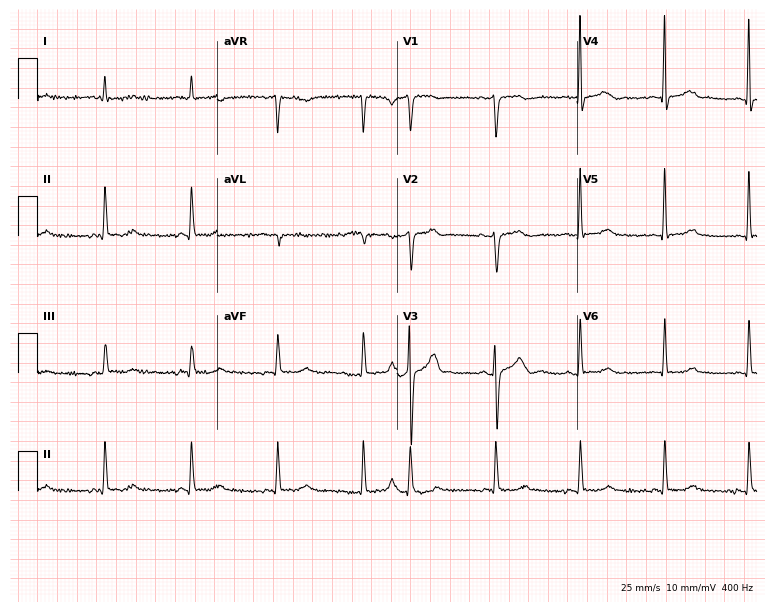
Standard 12-lead ECG recorded from a 79-year-old female (7.3-second recording at 400 Hz). Read as a normal ECG.